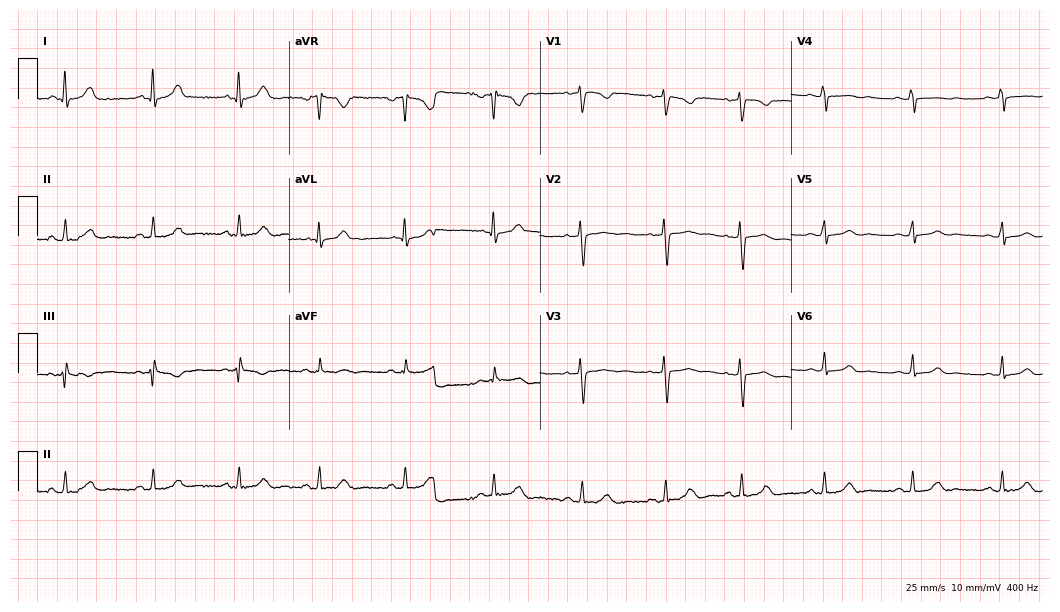
12-lead ECG from a 28-year-old female patient. Labelled as a normal ECG.